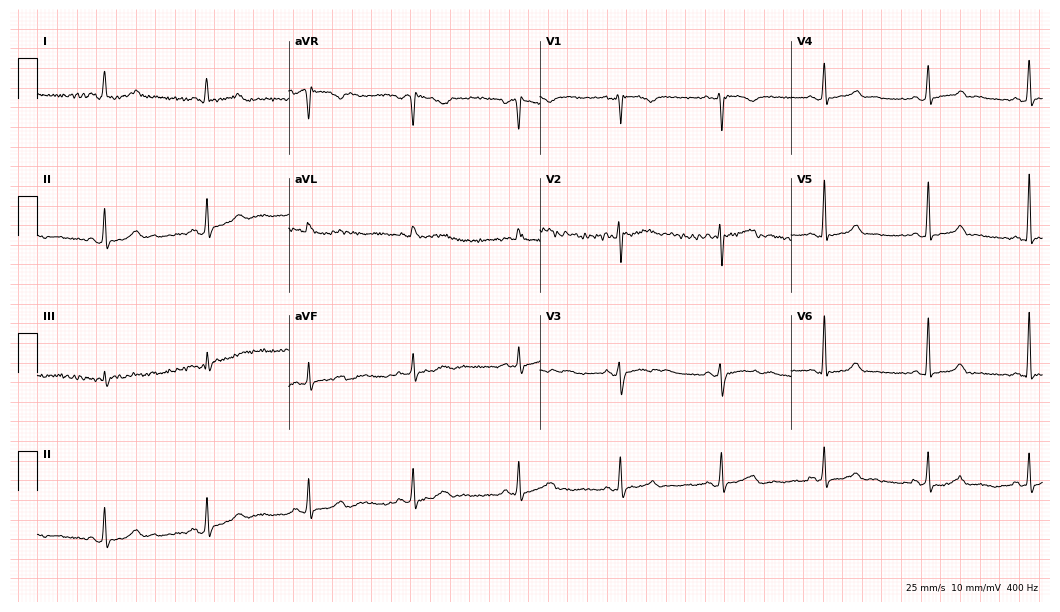
12-lead ECG from a 40-year-old woman. No first-degree AV block, right bundle branch block, left bundle branch block, sinus bradycardia, atrial fibrillation or sinus tachycardia recorded for this tracing. Findings outside these six are not listed.